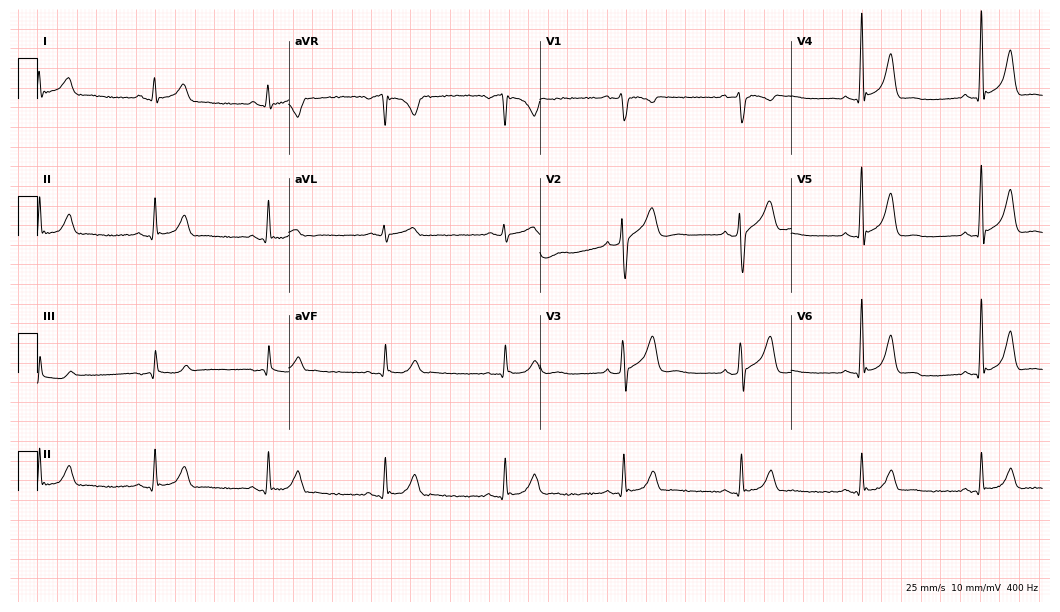
Resting 12-lead electrocardiogram (10.2-second recording at 400 Hz). Patient: a 43-year-old man. Read as a normal ECG.